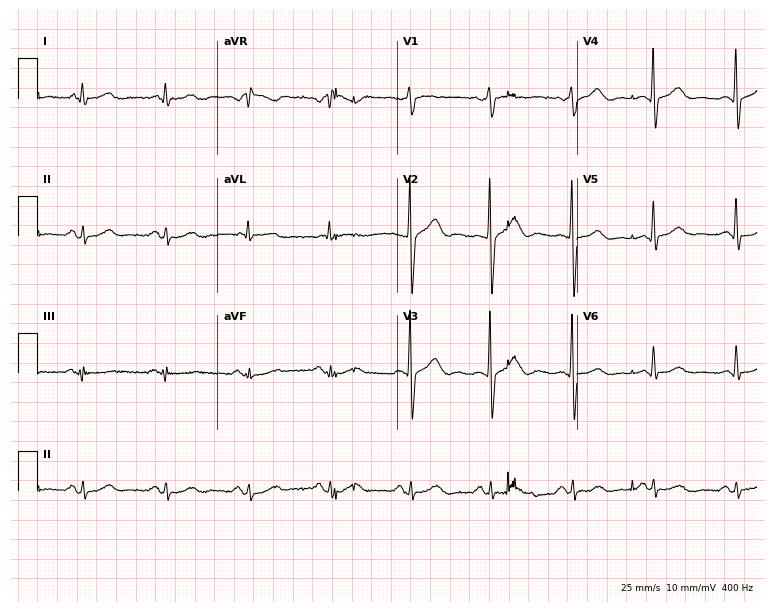
12-lead ECG (7.3-second recording at 400 Hz) from a man, 59 years old. Screened for six findings — first-degree AV block, right bundle branch block, left bundle branch block, sinus bradycardia, atrial fibrillation, sinus tachycardia — none is recorded.